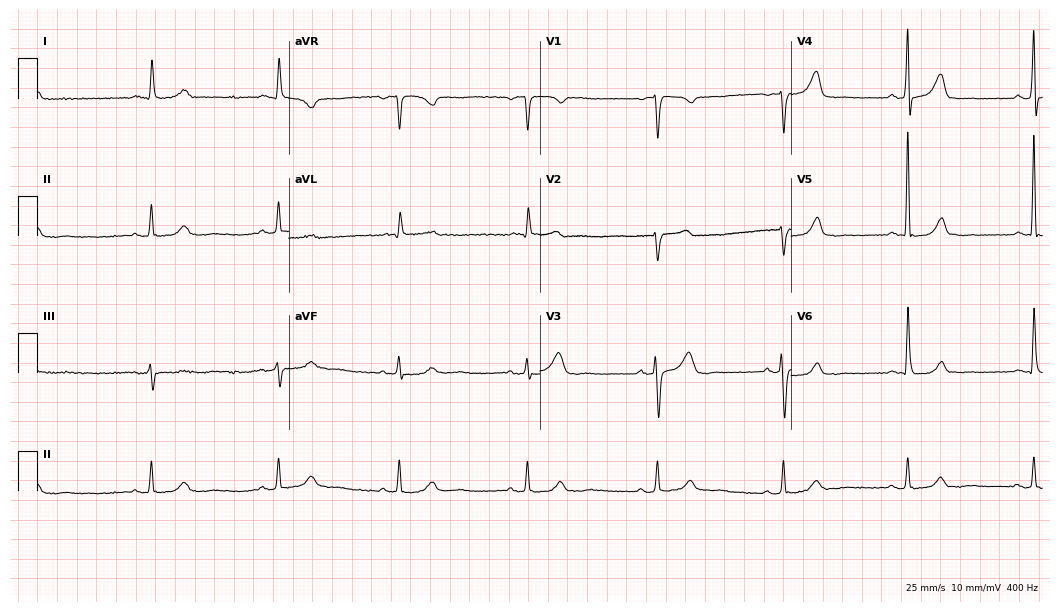
Resting 12-lead electrocardiogram. Patient: a 70-year-old female. The tracing shows sinus bradycardia (a sinus rate of 50 beats per minute or less).